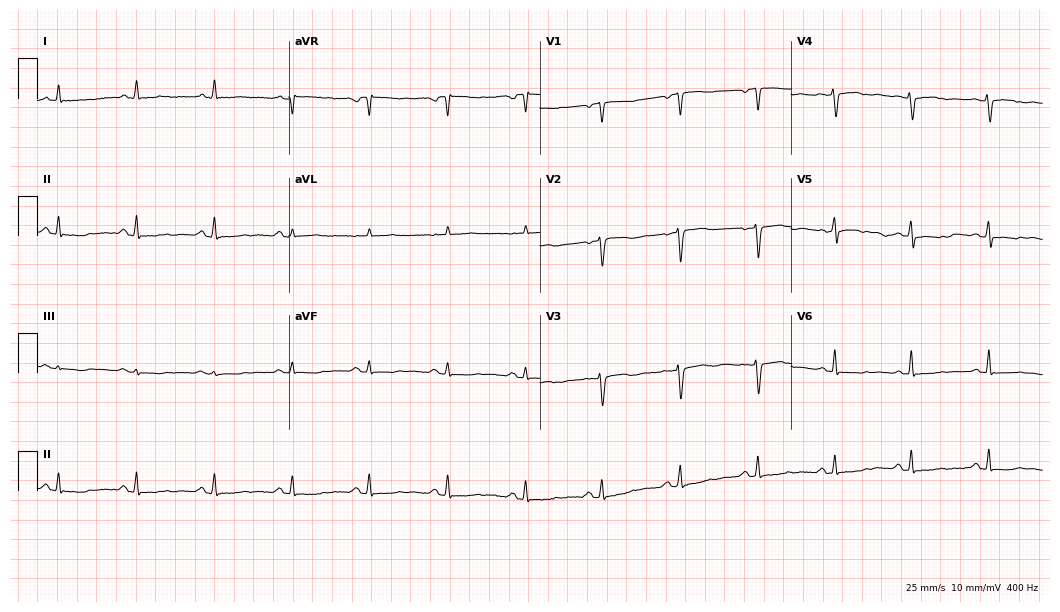
Resting 12-lead electrocardiogram (10.2-second recording at 400 Hz). Patient: a woman, 54 years old. None of these six findings is recorded: first-degree AV block, right bundle branch block (RBBB), left bundle branch block (LBBB), sinus bradycardia, atrial fibrillation (AF), sinus tachycardia. Other findings, if any, are not listed.